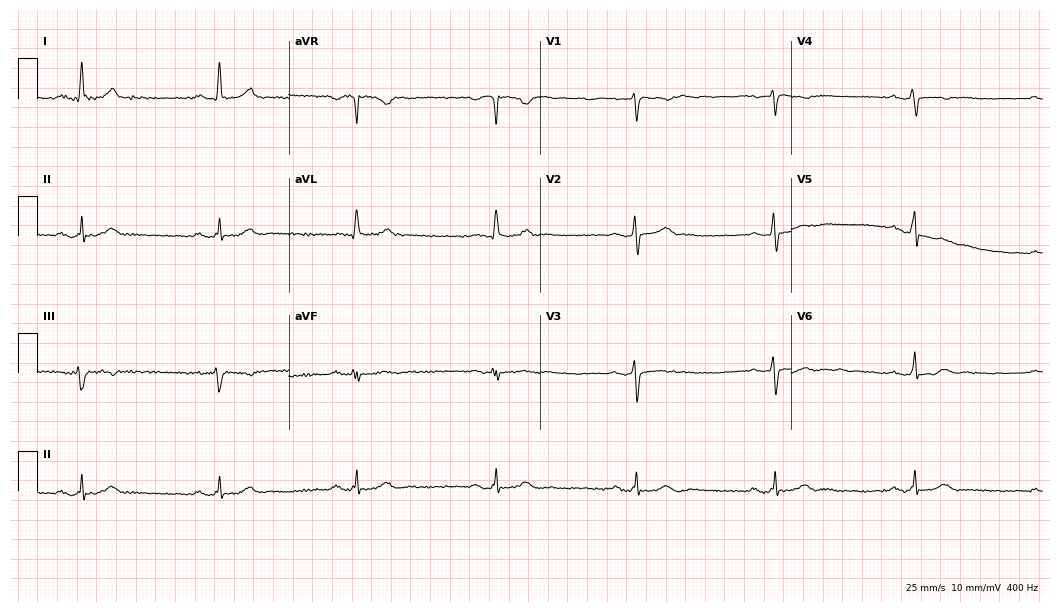
Standard 12-lead ECG recorded from a 55-year-old woman. The tracing shows sinus bradycardia (a sinus rate of 50 beats per minute or less).